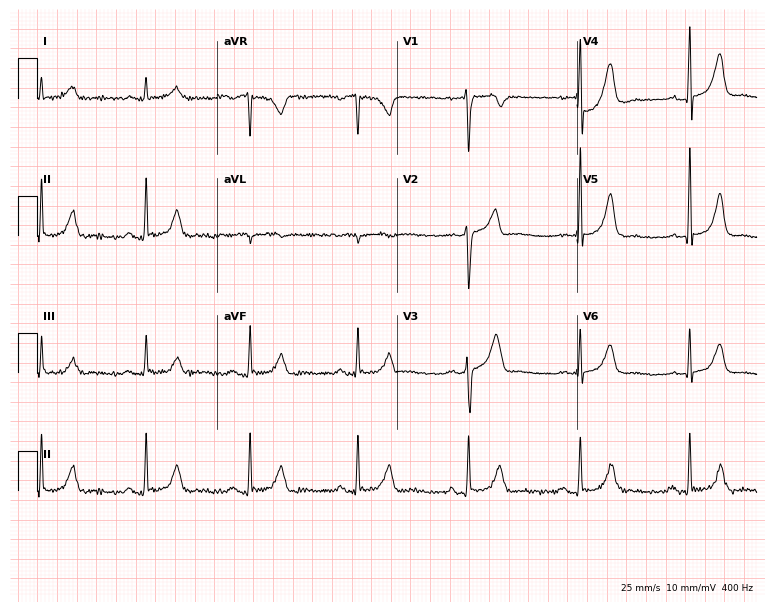
Standard 12-lead ECG recorded from a male patient, 52 years old (7.3-second recording at 400 Hz). Read as a normal ECG.